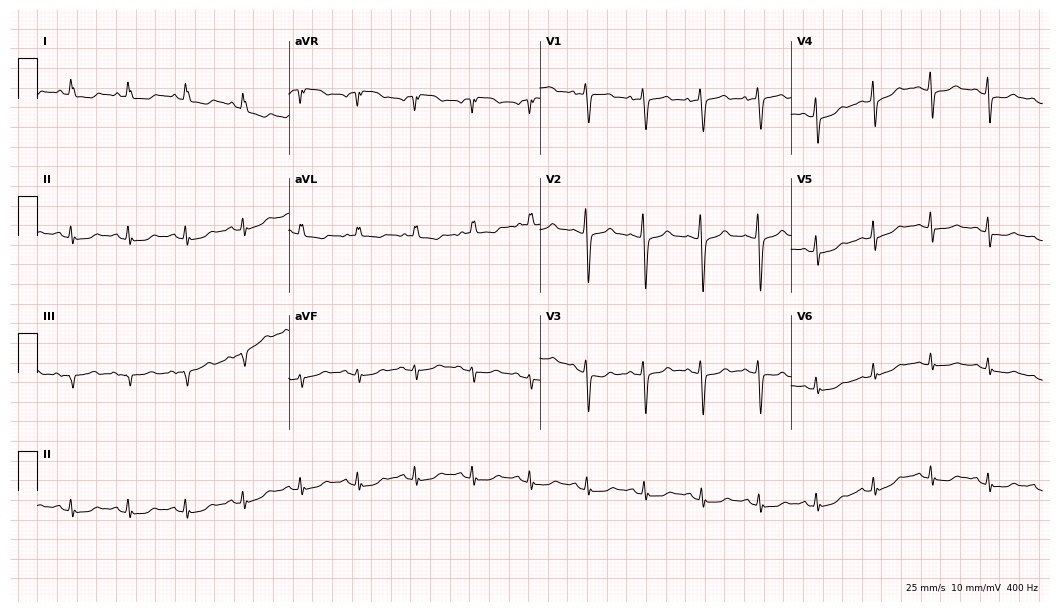
Standard 12-lead ECG recorded from a 65-year-old female patient. The tracing shows sinus tachycardia (a sinus rate of 100 beats per minute or more).